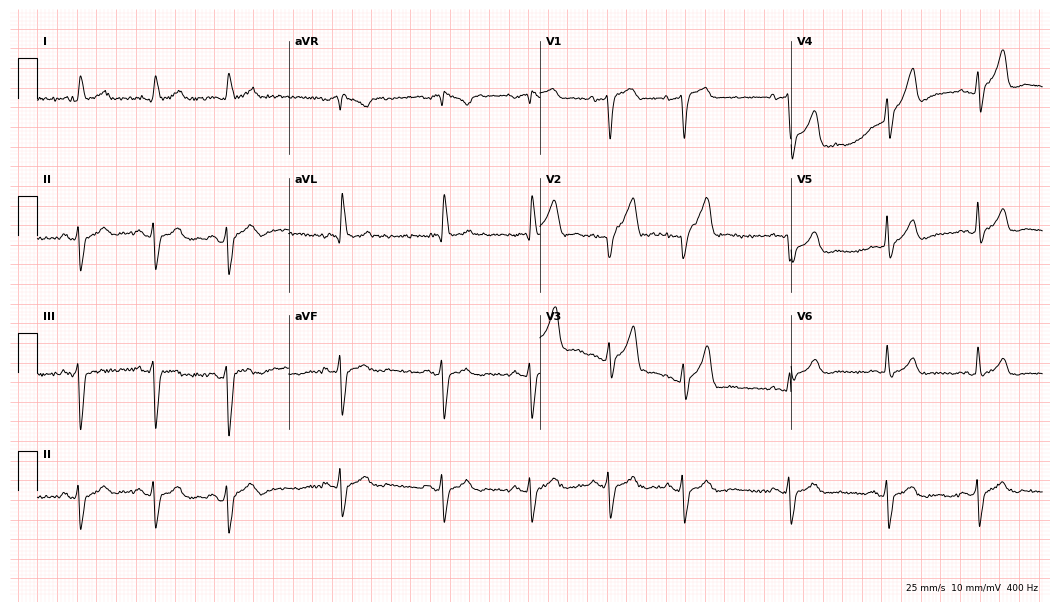
Resting 12-lead electrocardiogram. Patient: a 78-year-old male. None of these six findings is recorded: first-degree AV block, right bundle branch block, left bundle branch block, sinus bradycardia, atrial fibrillation, sinus tachycardia.